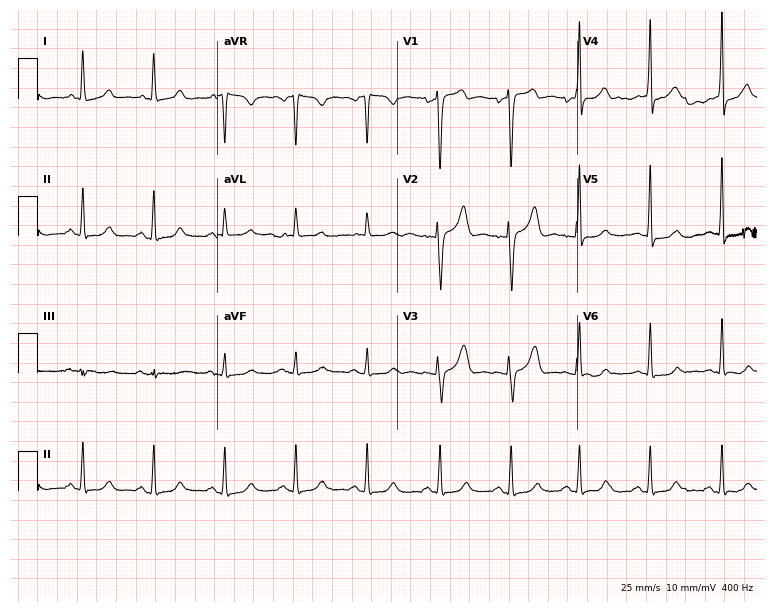
12-lead ECG from a 47-year-old female. Recorded interpretation: within normal limits.